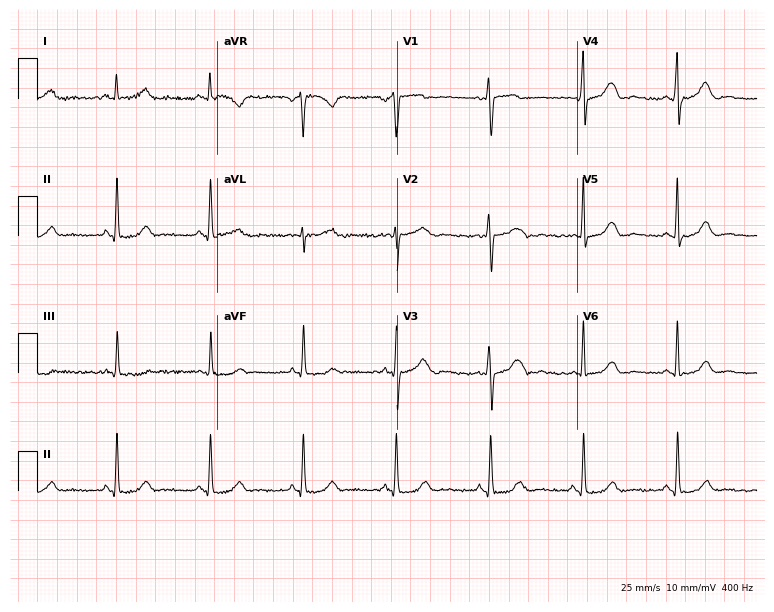
12-lead ECG (7.3-second recording at 400 Hz) from a 24-year-old female patient. Screened for six findings — first-degree AV block, right bundle branch block, left bundle branch block, sinus bradycardia, atrial fibrillation, sinus tachycardia — none is recorded. Other findings, if any, are not listed.